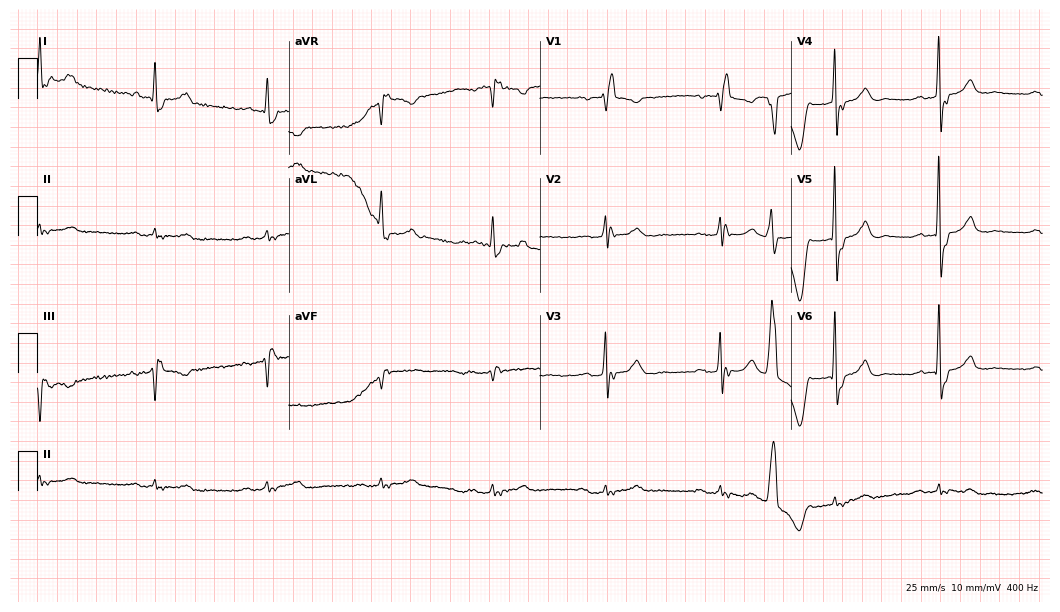
12-lead ECG from a male patient, 83 years old. Screened for six findings — first-degree AV block, right bundle branch block, left bundle branch block, sinus bradycardia, atrial fibrillation, sinus tachycardia — none is recorded. Only these six findings were labelled.